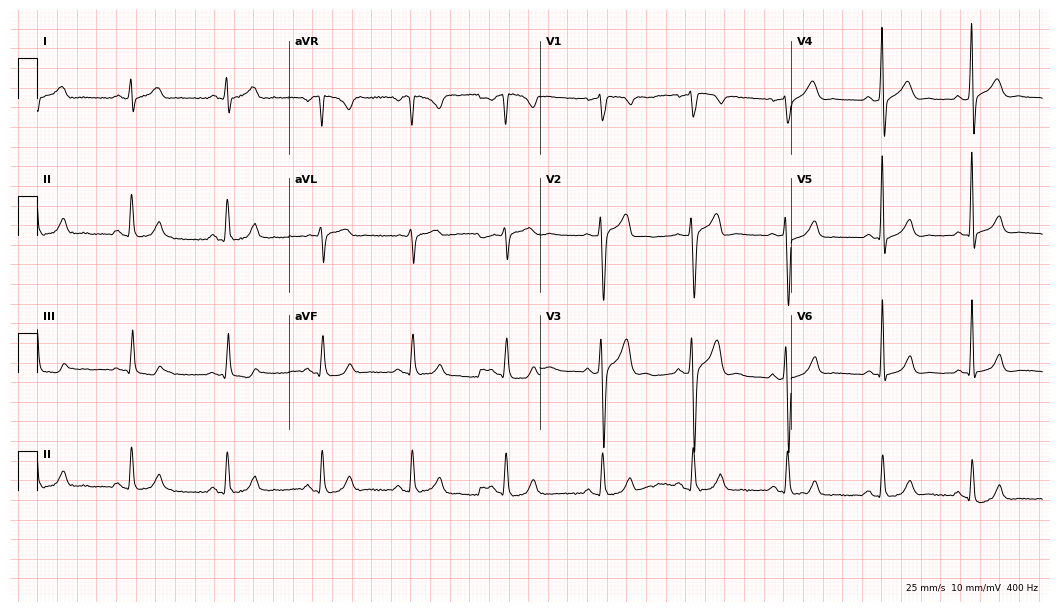
12-lead ECG from a male, 38 years old. Recorded interpretation: within normal limits.